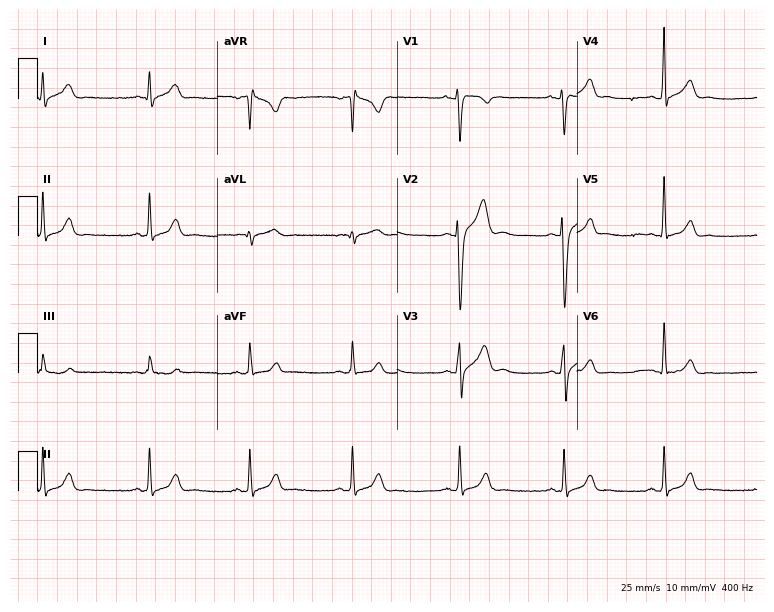
Resting 12-lead electrocardiogram (7.3-second recording at 400 Hz). Patient: a 22-year-old man. Read as a normal ECG.